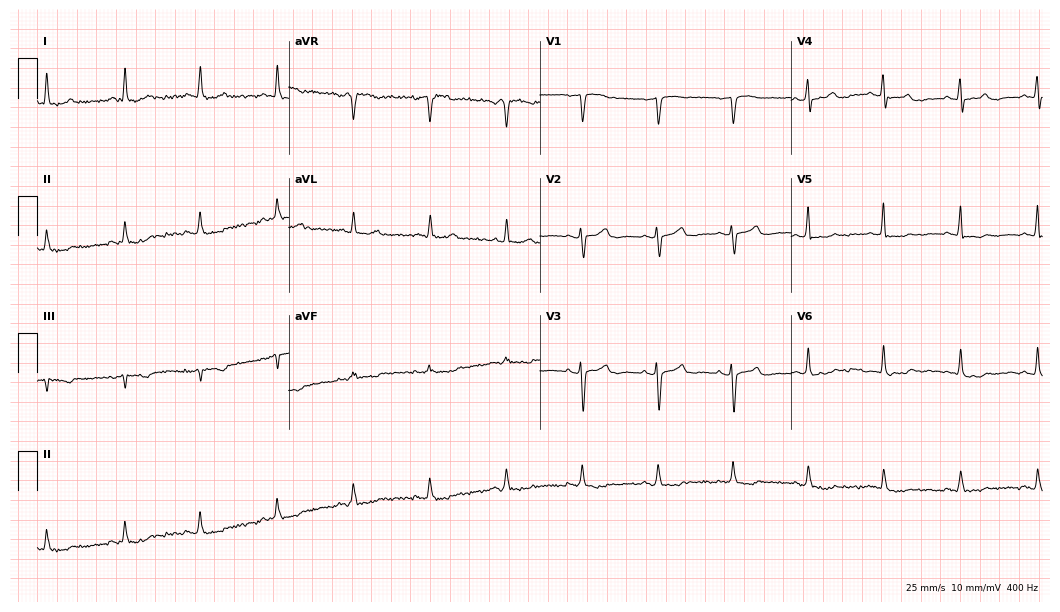
Resting 12-lead electrocardiogram. Patient: a 54-year-old female. None of these six findings is recorded: first-degree AV block, right bundle branch block, left bundle branch block, sinus bradycardia, atrial fibrillation, sinus tachycardia. Only these six findings were labelled.